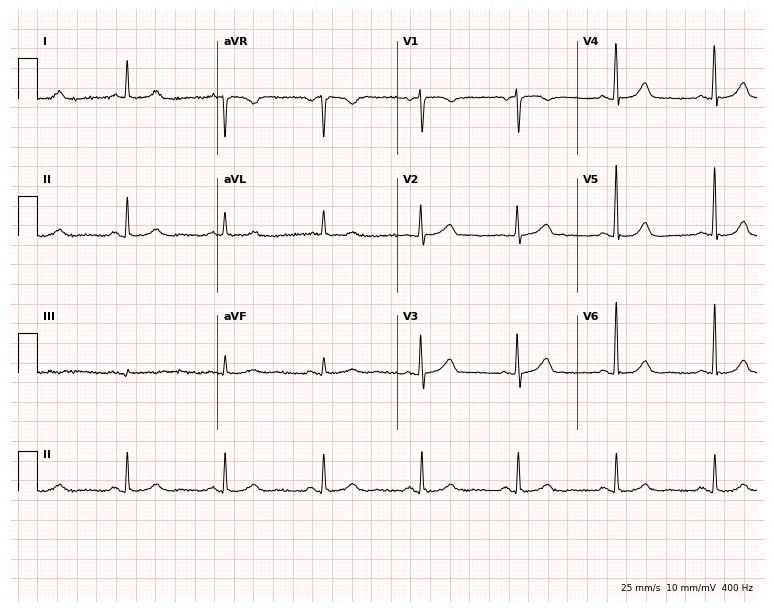
12-lead ECG from an 81-year-old female patient. No first-degree AV block, right bundle branch block, left bundle branch block, sinus bradycardia, atrial fibrillation or sinus tachycardia recorded for this tracing.